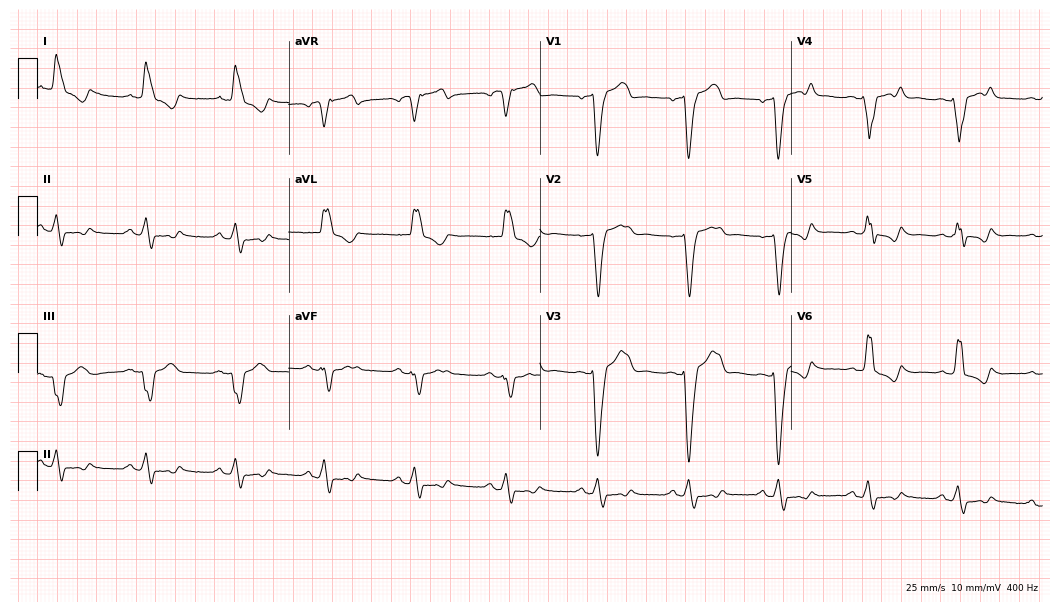
Electrocardiogram (10.2-second recording at 400 Hz), a 68-year-old man. Of the six screened findings (first-degree AV block, right bundle branch block, left bundle branch block, sinus bradycardia, atrial fibrillation, sinus tachycardia), none is recorded. Only these six findings were labelled.